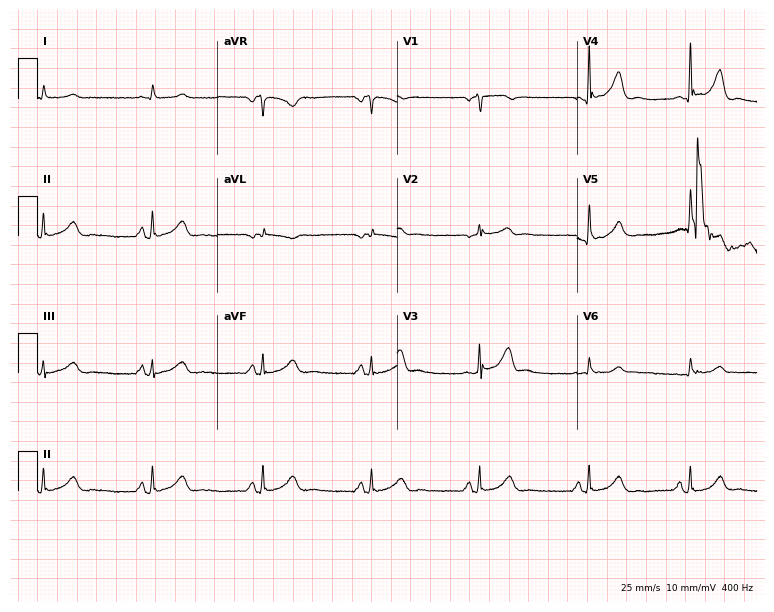
Resting 12-lead electrocardiogram. Patient: a man, 56 years old. Read as a normal ECG.